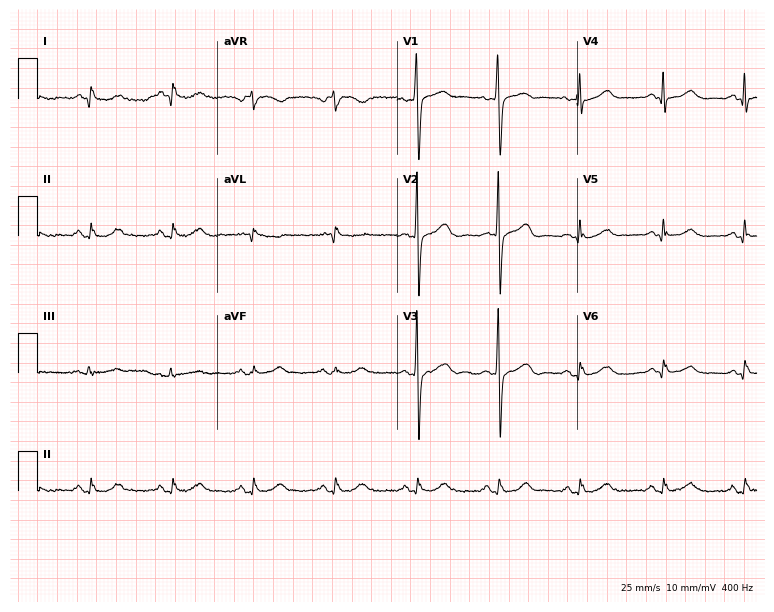
Electrocardiogram, a female, 70 years old. Of the six screened findings (first-degree AV block, right bundle branch block, left bundle branch block, sinus bradycardia, atrial fibrillation, sinus tachycardia), none is recorded.